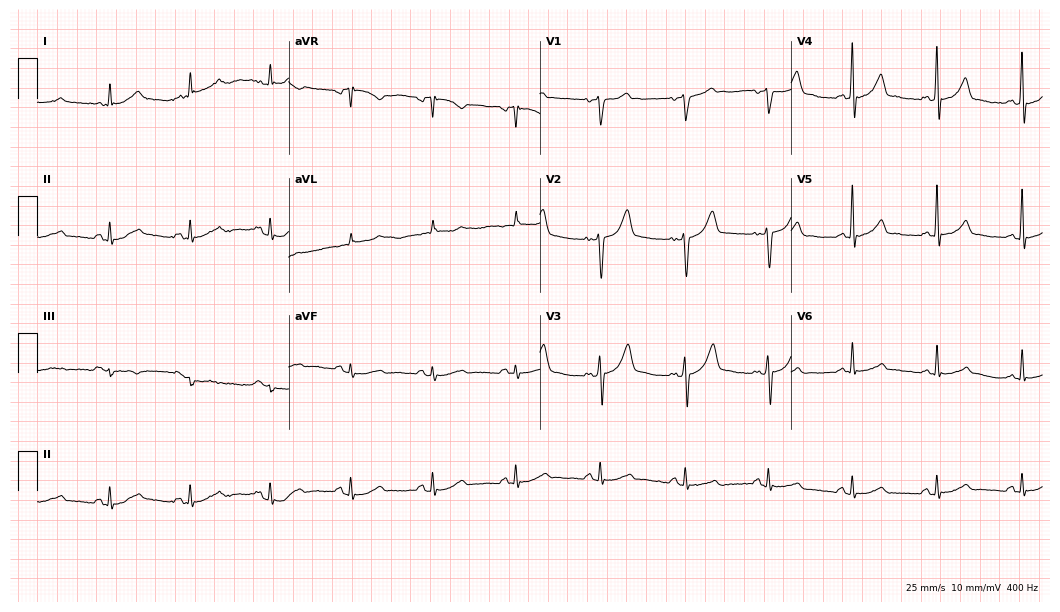
ECG — a male patient, 59 years old. Labelled as a normal ECG.